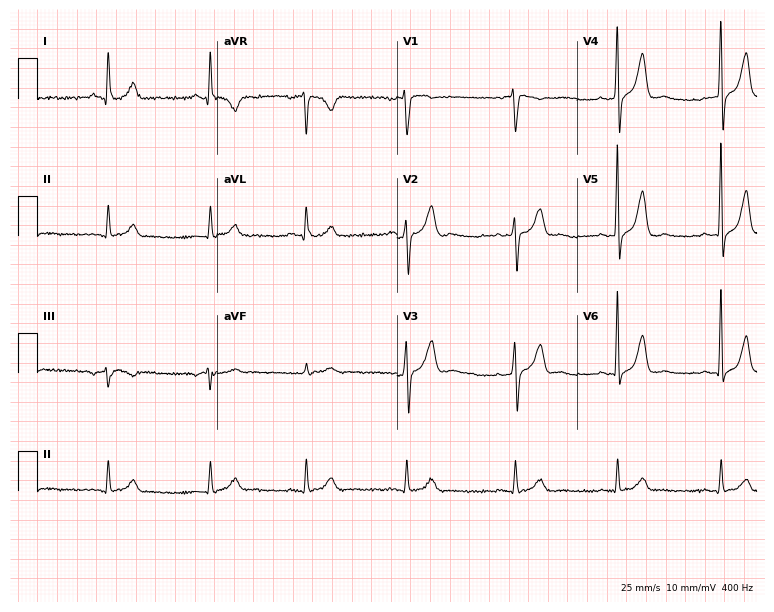
Electrocardiogram, a male patient, 48 years old. Overall reading on record: normal ECG.